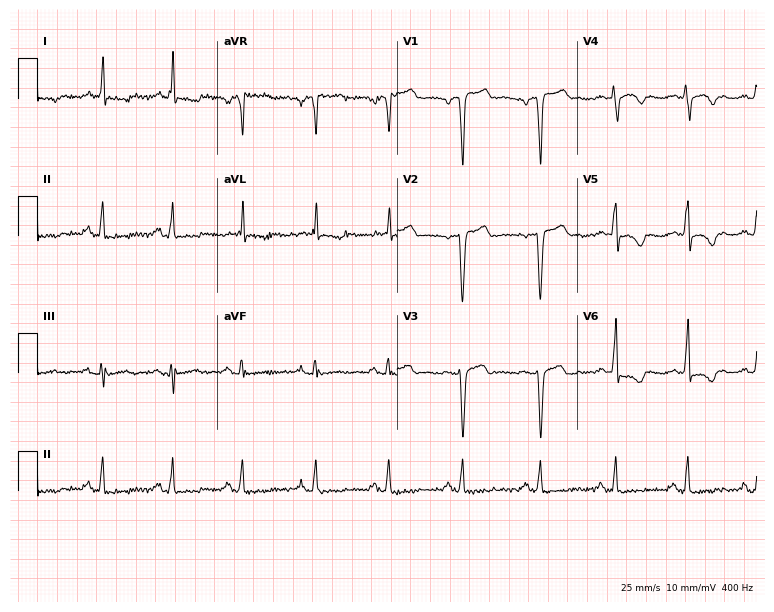
ECG (7.3-second recording at 400 Hz) — a 62-year-old female. Screened for six findings — first-degree AV block, right bundle branch block, left bundle branch block, sinus bradycardia, atrial fibrillation, sinus tachycardia — none is recorded.